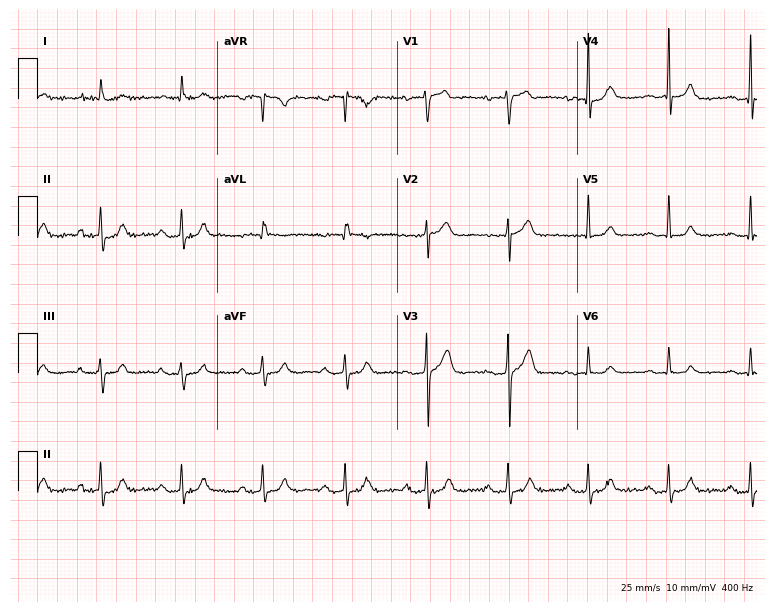
12-lead ECG from a man, 77 years old. Shows first-degree AV block.